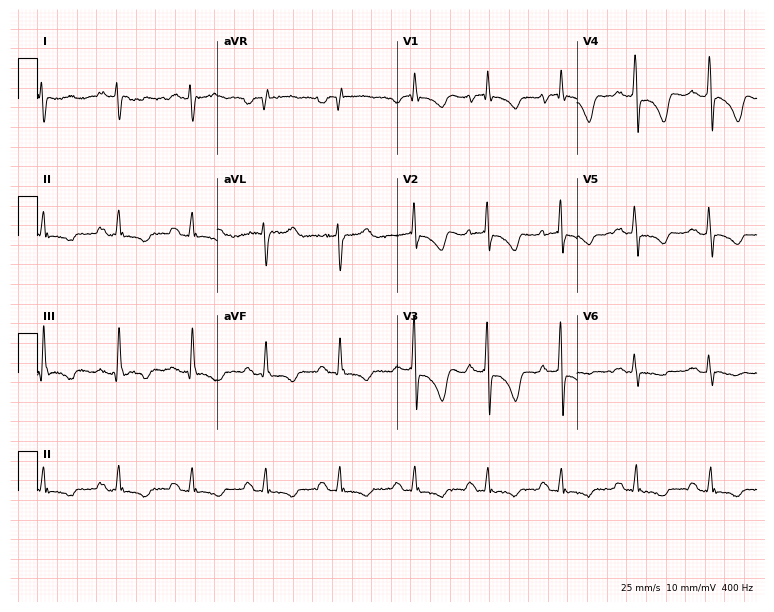
Resting 12-lead electrocardiogram. Patient: an 83-year-old male. None of these six findings is recorded: first-degree AV block, right bundle branch block, left bundle branch block, sinus bradycardia, atrial fibrillation, sinus tachycardia.